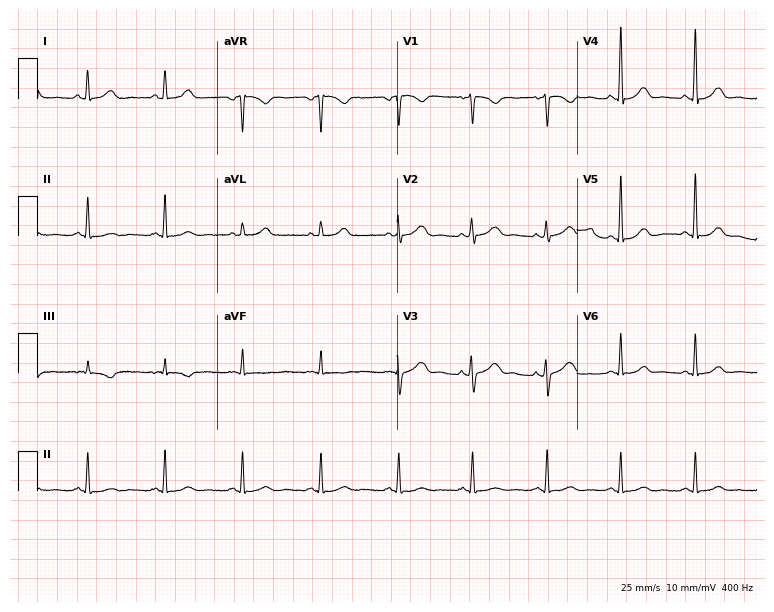
Standard 12-lead ECG recorded from a female, 49 years old (7.3-second recording at 400 Hz). Read as a normal ECG.